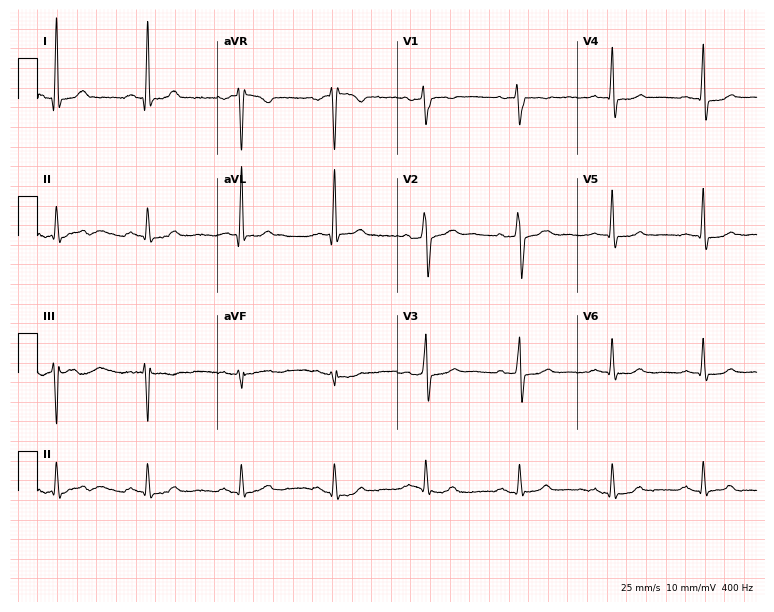
12-lead ECG from a 52-year-old male patient (7.3-second recording at 400 Hz). Recorded interpretation: within normal limits.